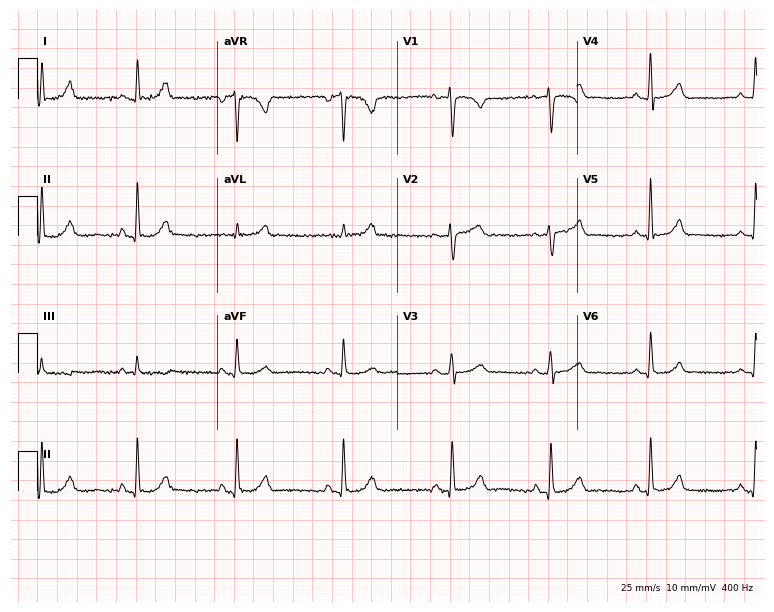
12-lead ECG (7.3-second recording at 400 Hz) from a female, 38 years old. Screened for six findings — first-degree AV block, right bundle branch block (RBBB), left bundle branch block (LBBB), sinus bradycardia, atrial fibrillation (AF), sinus tachycardia — none is recorded.